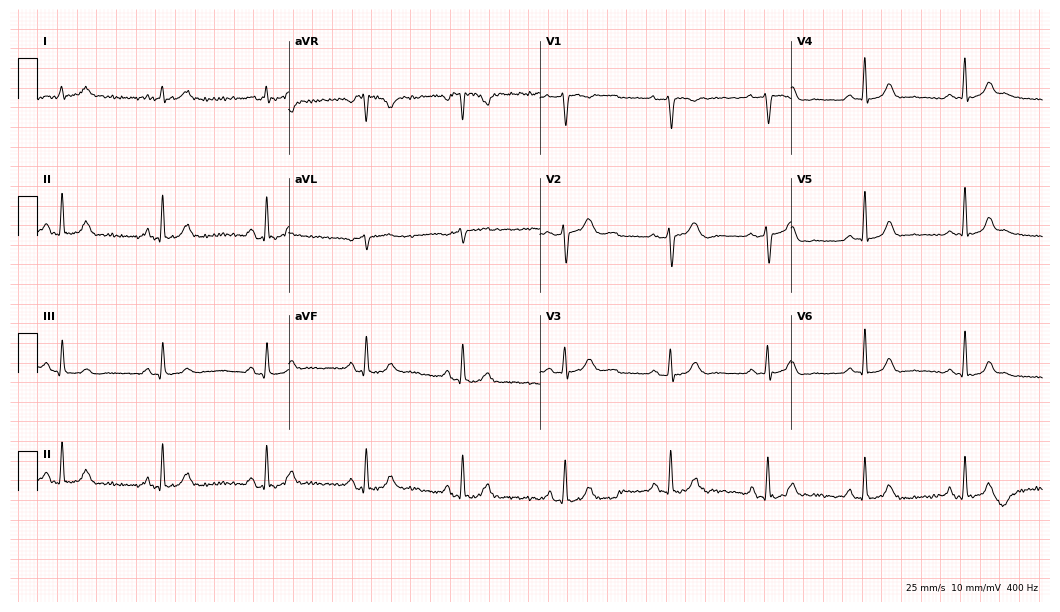
Standard 12-lead ECG recorded from a woman, 37 years old (10.2-second recording at 400 Hz). Read as a normal ECG.